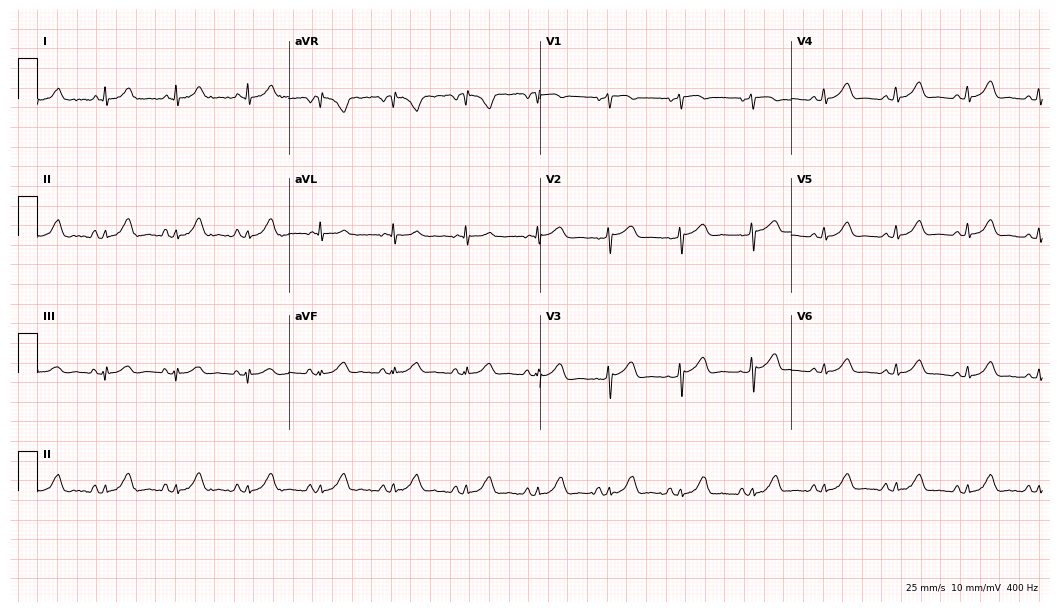
12-lead ECG from a 51-year-old woman (10.2-second recording at 400 Hz). Recorded interpretation: within normal limits.